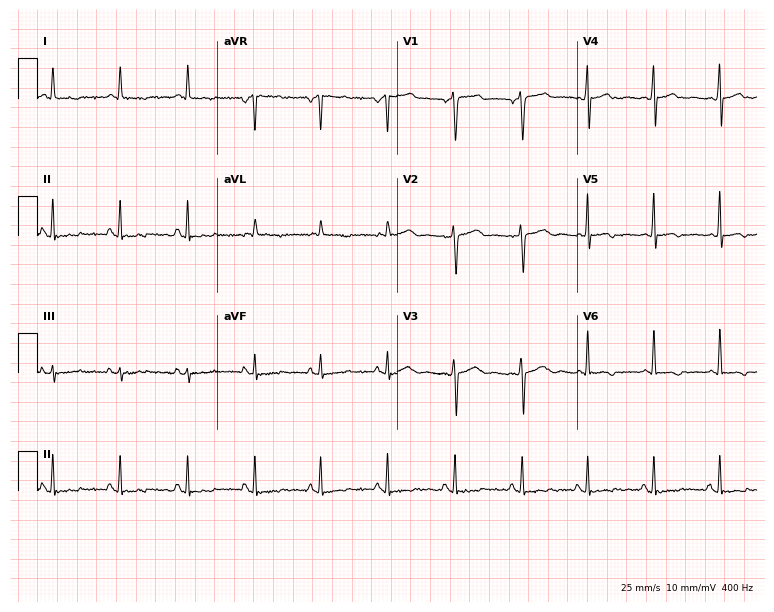
Standard 12-lead ECG recorded from a female, 51 years old (7.3-second recording at 400 Hz). None of these six findings is recorded: first-degree AV block, right bundle branch block (RBBB), left bundle branch block (LBBB), sinus bradycardia, atrial fibrillation (AF), sinus tachycardia.